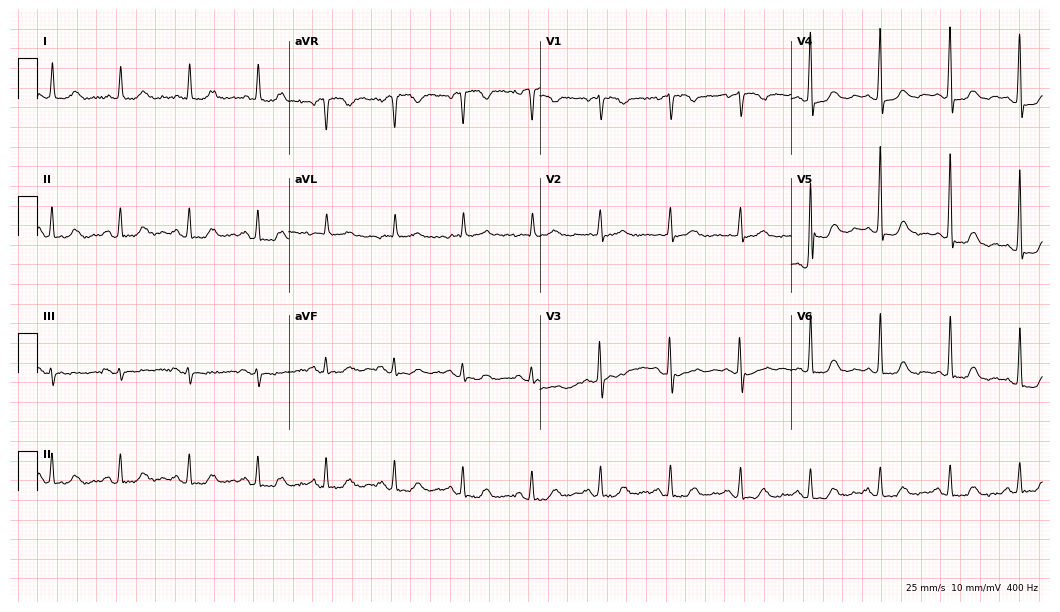
12-lead ECG (10.2-second recording at 400 Hz) from a 79-year-old female patient. Labelled as a normal ECG.